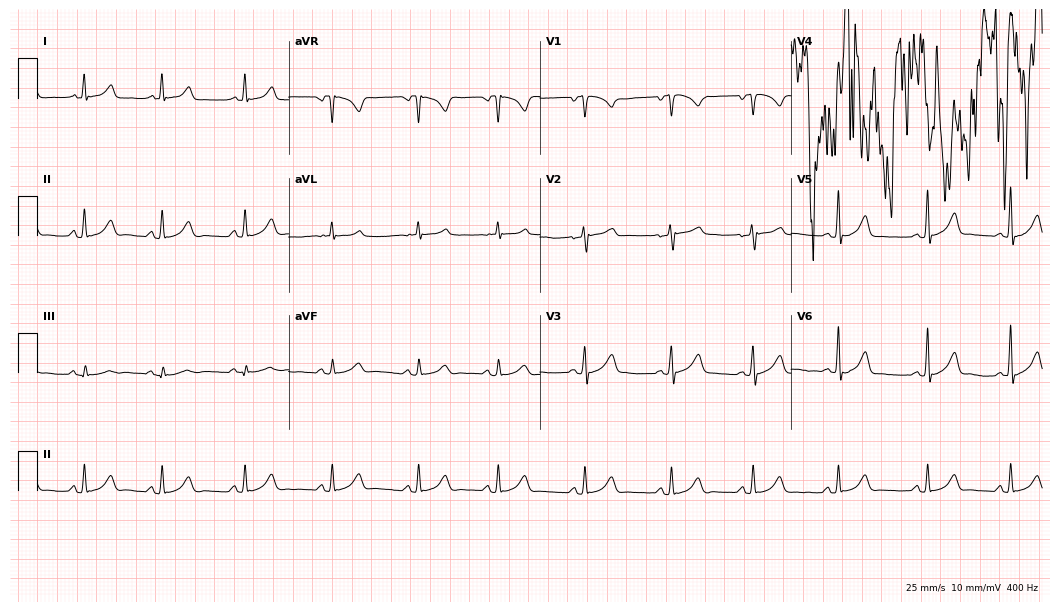
Standard 12-lead ECG recorded from a female patient, 28 years old (10.2-second recording at 400 Hz). None of these six findings is recorded: first-degree AV block, right bundle branch block (RBBB), left bundle branch block (LBBB), sinus bradycardia, atrial fibrillation (AF), sinus tachycardia. Findings outside these six are not listed.